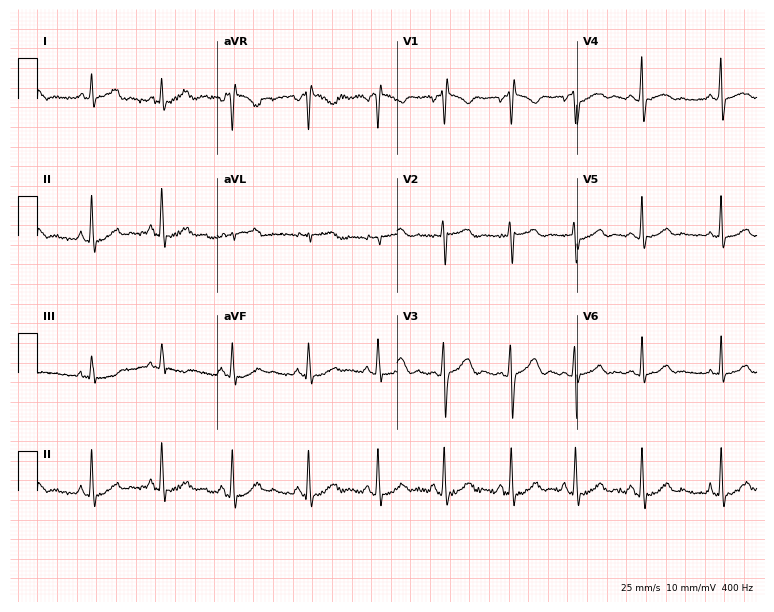
ECG (7.3-second recording at 400 Hz) — a woman, 17 years old. Screened for six findings — first-degree AV block, right bundle branch block (RBBB), left bundle branch block (LBBB), sinus bradycardia, atrial fibrillation (AF), sinus tachycardia — none is recorded. Other findings, if any, are not listed.